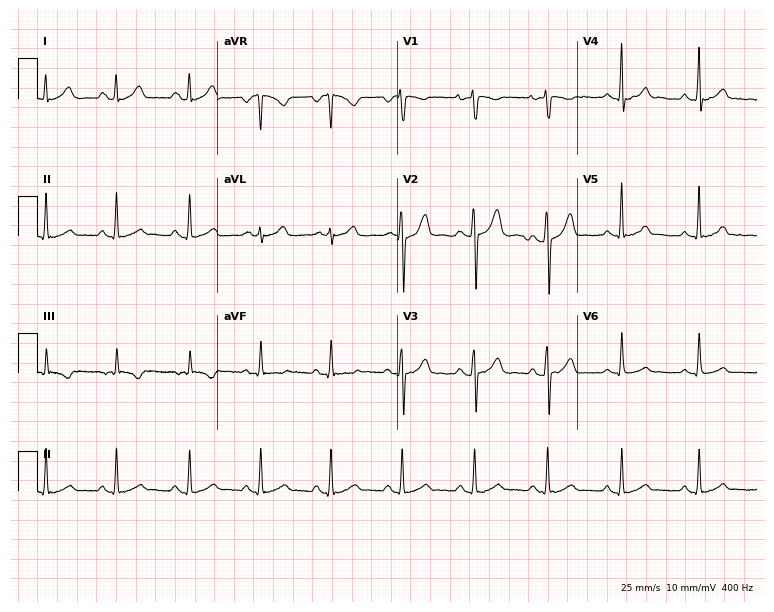
ECG (7.3-second recording at 400 Hz) — a female patient, 29 years old. Labelled as a normal ECG.